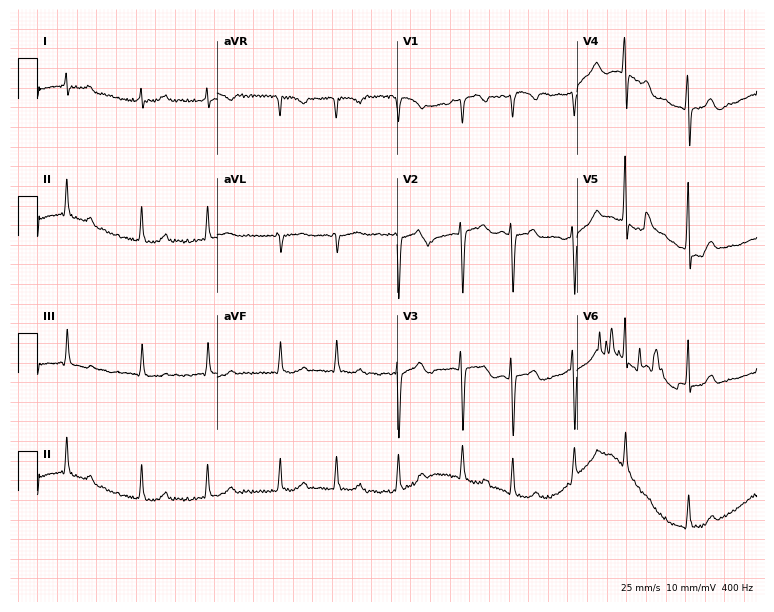
12-lead ECG from a 72-year-old woman. Findings include atrial fibrillation.